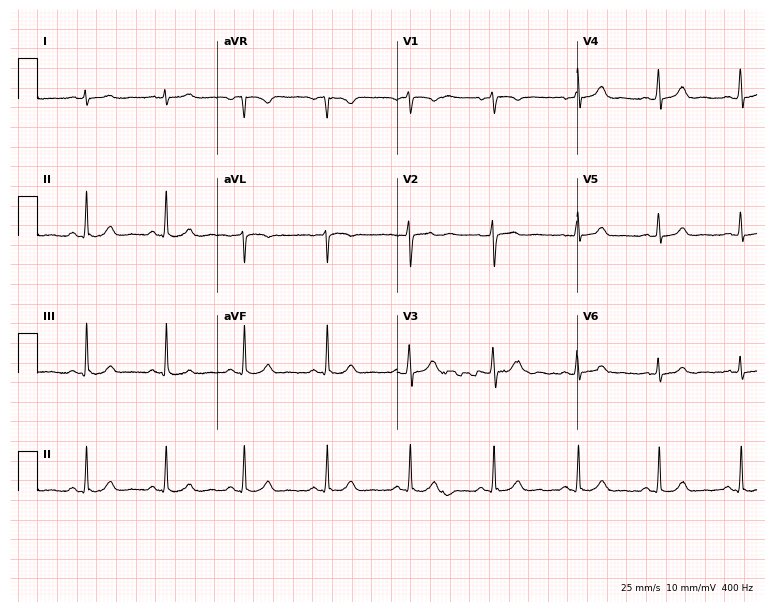
Resting 12-lead electrocardiogram. Patient: a woman, 35 years old. Read as a normal ECG.